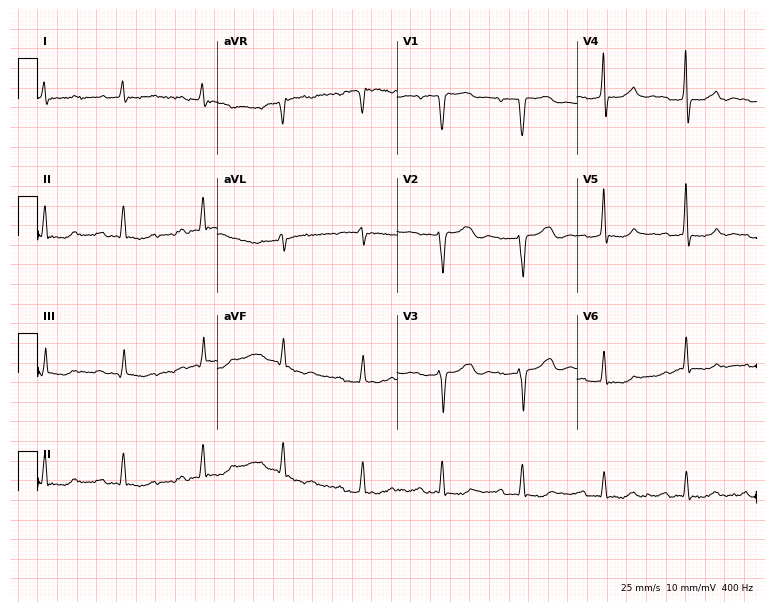
ECG — a female patient, 73 years old. Screened for six findings — first-degree AV block, right bundle branch block, left bundle branch block, sinus bradycardia, atrial fibrillation, sinus tachycardia — none is recorded.